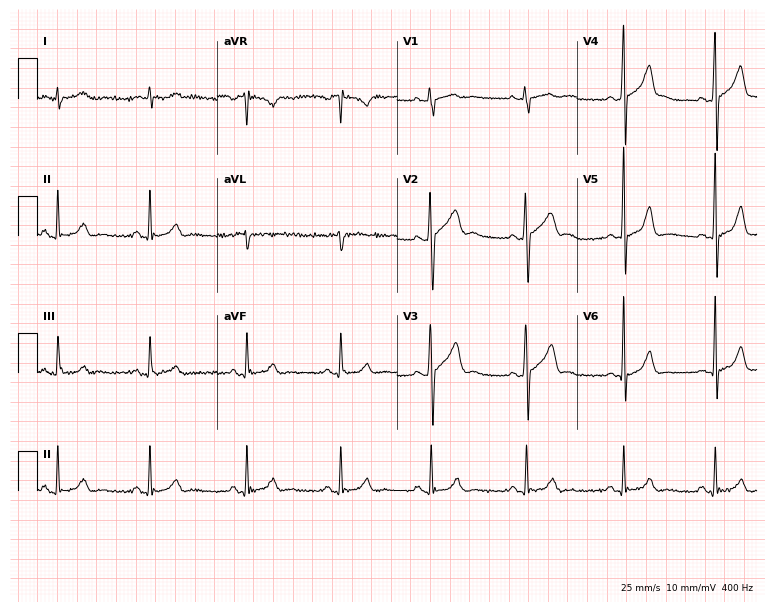
Standard 12-lead ECG recorded from a 37-year-old man. Read as a normal ECG.